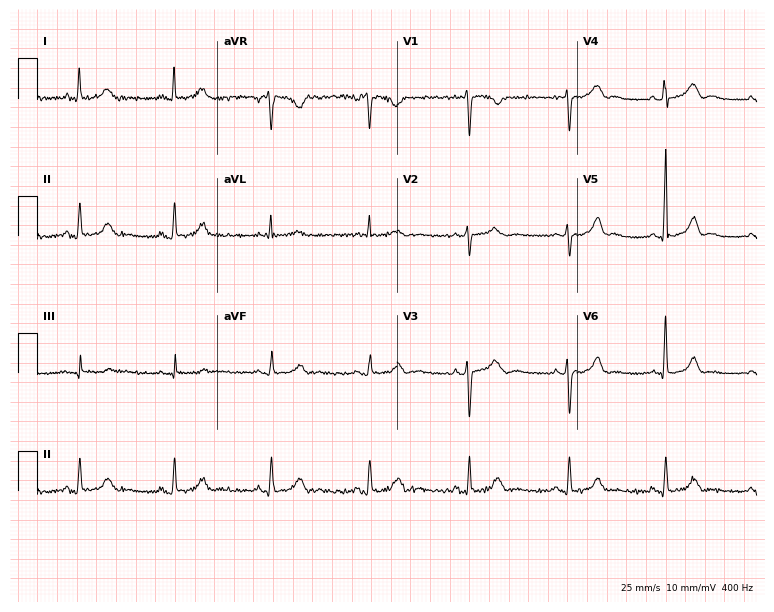
12-lead ECG from a 41-year-old female. No first-degree AV block, right bundle branch block, left bundle branch block, sinus bradycardia, atrial fibrillation or sinus tachycardia recorded for this tracing. Findings outside these six are not listed.